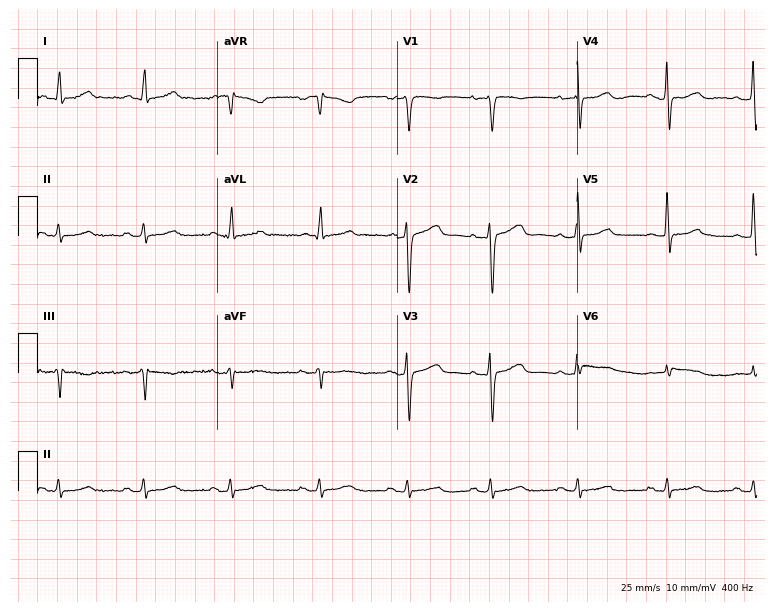
Resting 12-lead electrocardiogram (7.3-second recording at 400 Hz). Patient: a 40-year-old female. None of these six findings is recorded: first-degree AV block, right bundle branch block, left bundle branch block, sinus bradycardia, atrial fibrillation, sinus tachycardia.